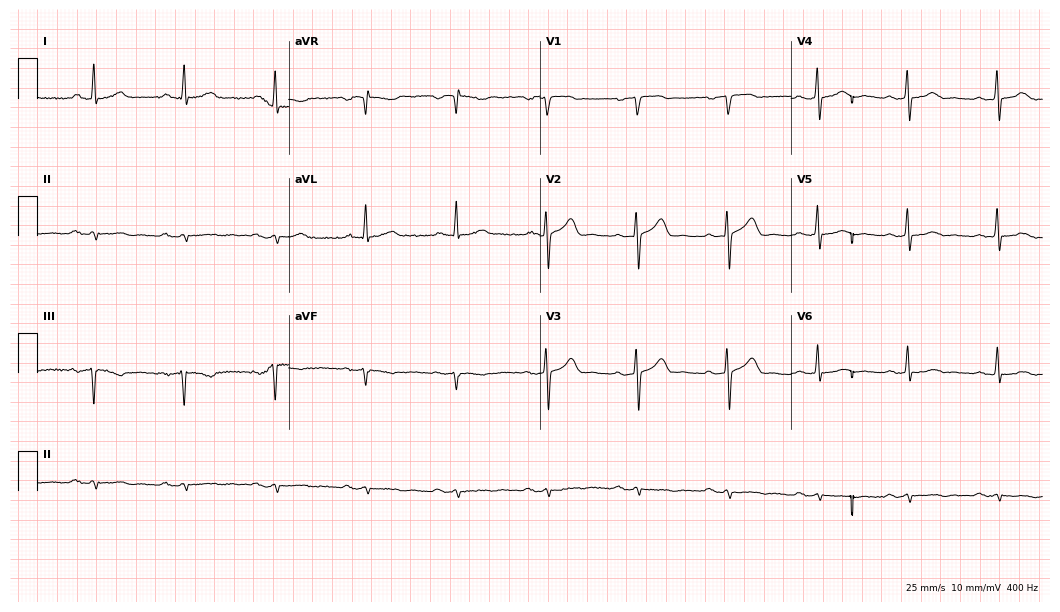
Resting 12-lead electrocardiogram. Patient: a male, 65 years old. None of these six findings is recorded: first-degree AV block, right bundle branch block, left bundle branch block, sinus bradycardia, atrial fibrillation, sinus tachycardia.